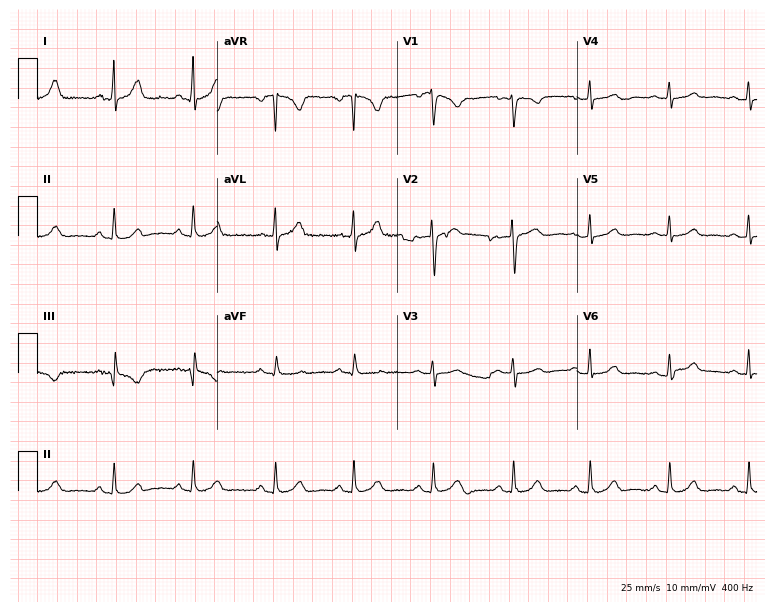
12-lead ECG (7.3-second recording at 400 Hz) from a woman, 35 years old. Labelled as a normal ECG.